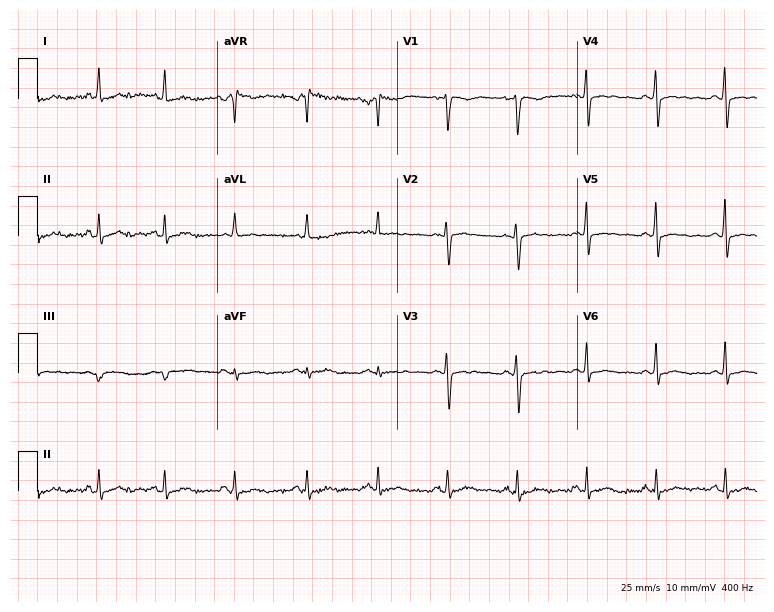
Electrocardiogram (7.3-second recording at 400 Hz), a 38-year-old female. Of the six screened findings (first-degree AV block, right bundle branch block, left bundle branch block, sinus bradycardia, atrial fibrillation, sinus tachycardia), none is recorded. Only these six findings were labelled.